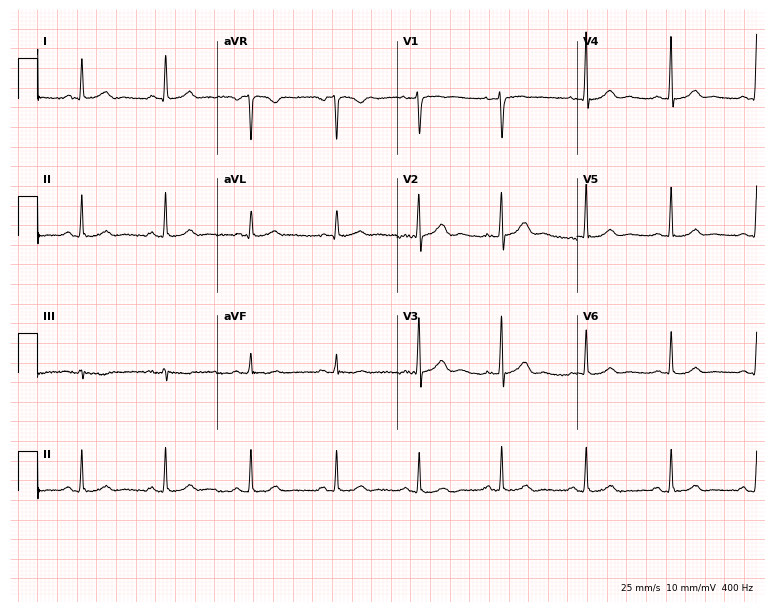
Electrocardiogram, a female patient, 45 years old. Of the six screened findings (first-degree AV block, right bundle branch block, left bundle branch block, sinus bradycardia, atrial fibrillation, sinus tachycardia), none is recorded. Findings outside these six are not listed.